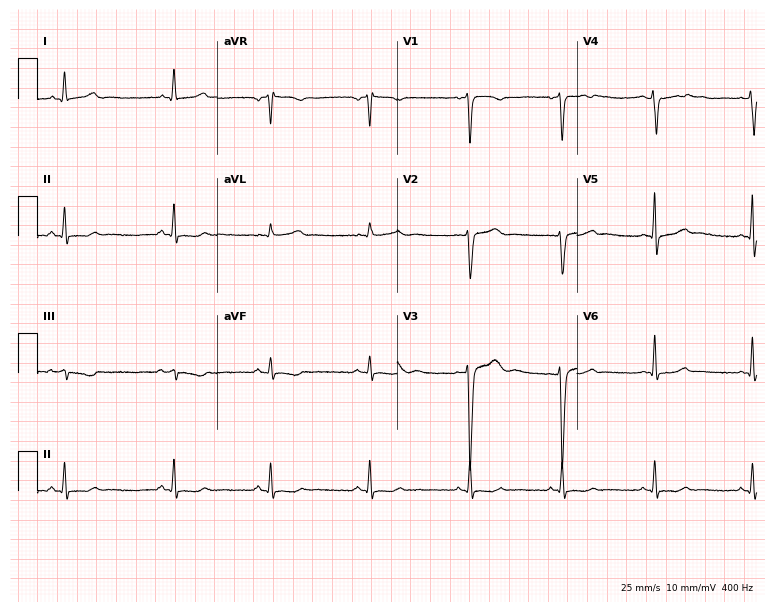
Resting 12-lead electrocardiogram (7.3-second recording at 400 Hz). Patient: a 27-year-old woman. None of these six findings is recorded: first-degree AV block, right bundle branch block, left bundle branch block, sinus bradycardia, atrial fibrillation, sinus tachycardia. Other findings, if any, are not listed.